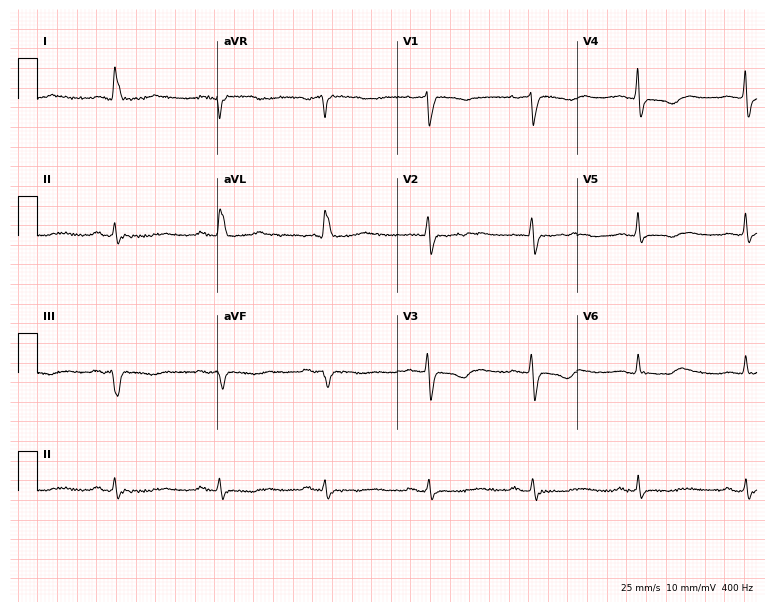
ECG (7.3-second recording at 400 Hz) — an 85-year-old female patient. Findings include left bundle branch block.